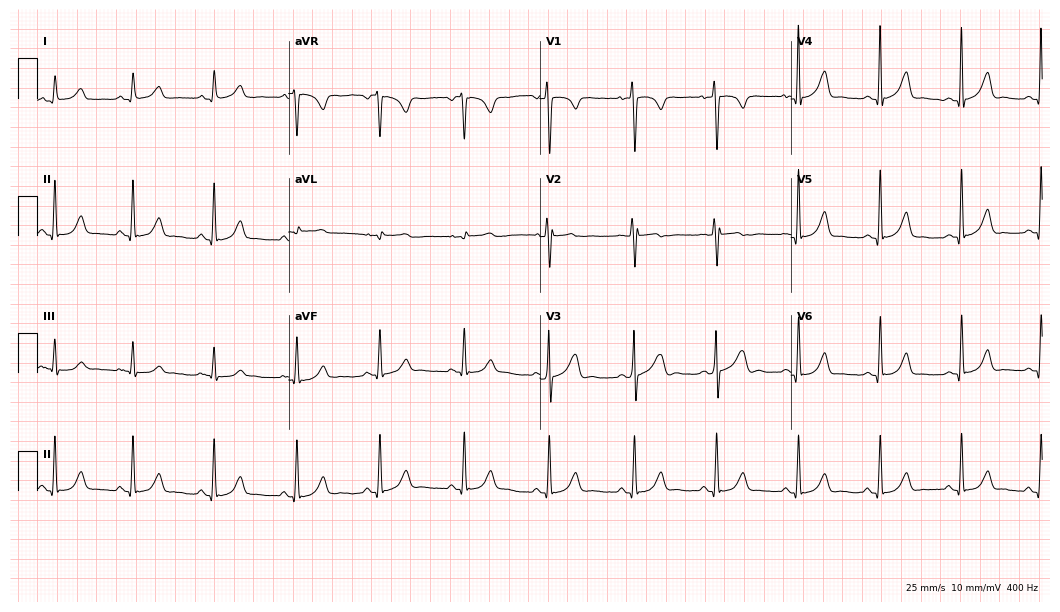
Standard 12-lead ECG recorded from a female patient, 74 years old (10.2-second recording at 400 Hz). Read as a normal ECG.